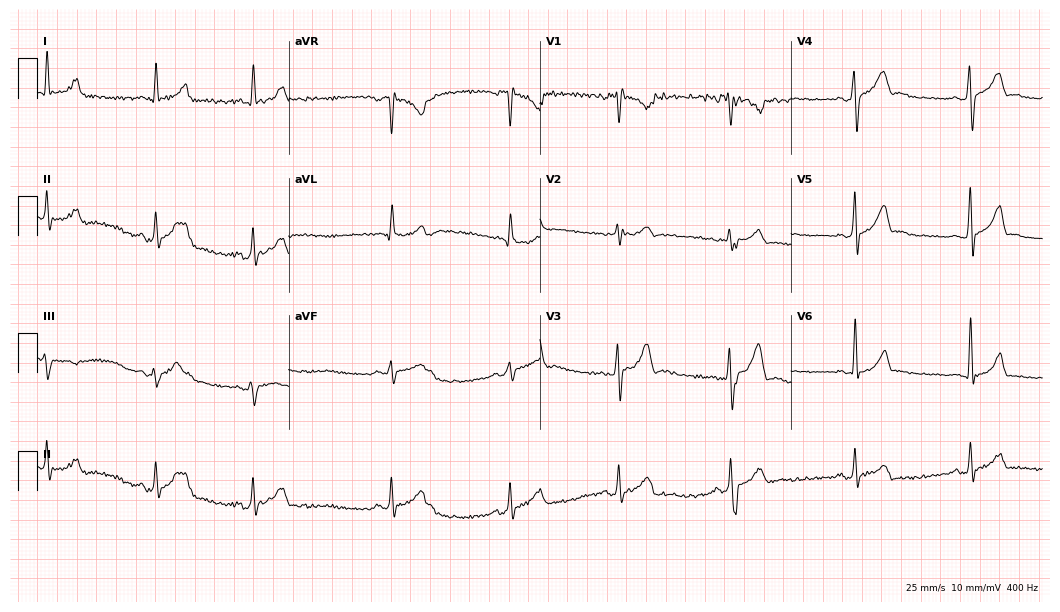
12-lead ECG from a male, 26 years old. No first-degree AV block, right bundle branch block, left bundle branch block, sinus bradycardia, atrial fibrillation or sinus tachycardia recorded for this tracing.